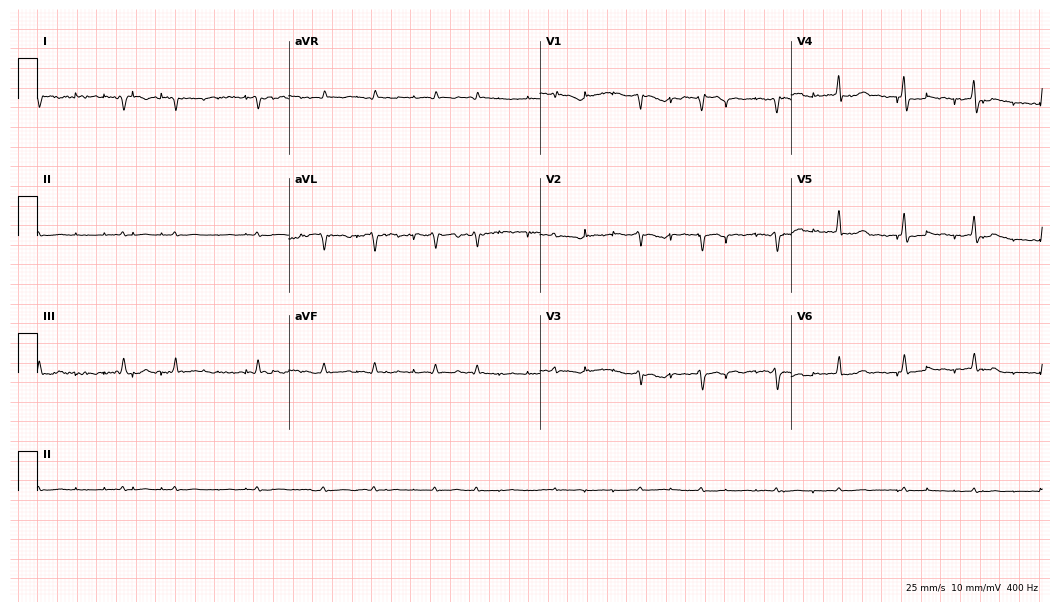
Electrocardiogram (10.2-second recording at 400 Hz), a 70-year-old female patient. Of the six screened findings (first-degree AV block, right bundle branch block (RBBB), left bundle branch block (LBBB), sinus bradycardia, atrial fibrillation (AF), sinus tachycardia), none is recorded. Only these six findings were labelled.